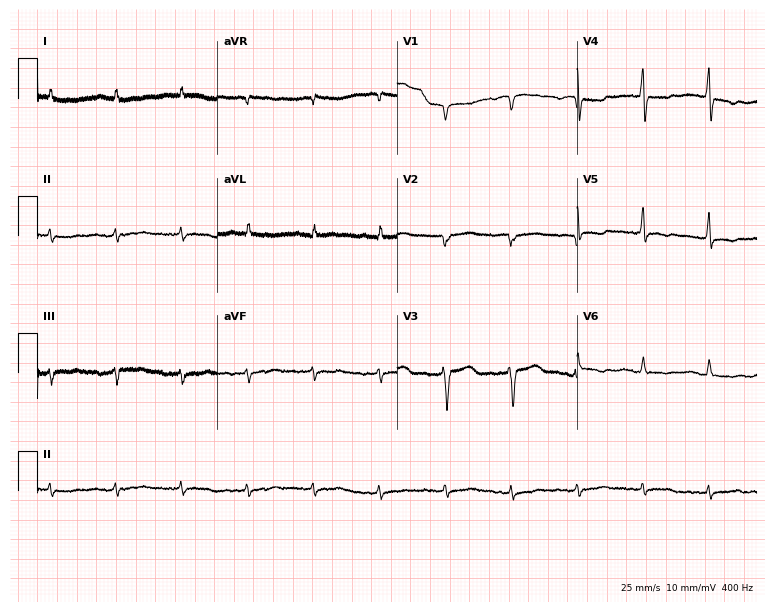
Electrocardiogram (7.3-second recording at 400 Hz), a female, 77 years old. Of the six screened findings (first-degree AV block, right bundle branch block, left bundle branch block, sinus bradycardia, atrial fibrillation, sinus tachycardia), none is recorded.